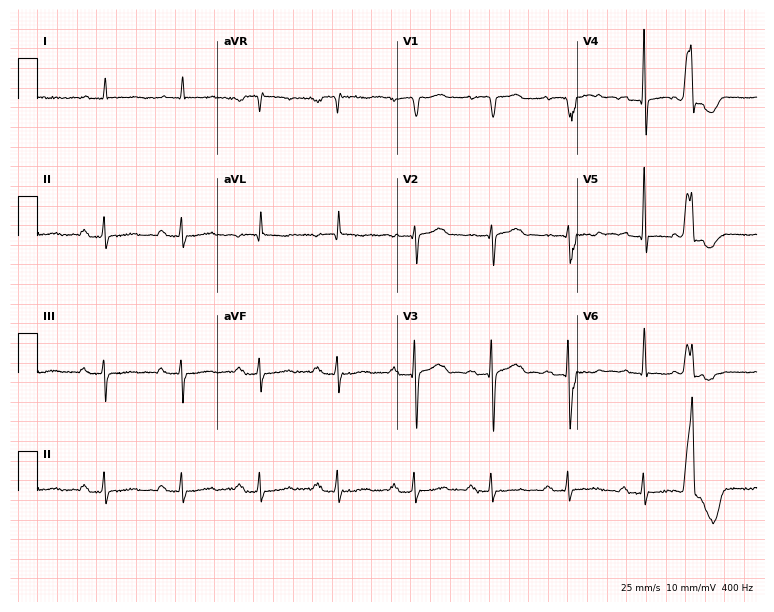
Electrocardiogram (7.3-second recording at 400 Hz), an 83-year-old male patient. Interpretation includes first-degree AV block.